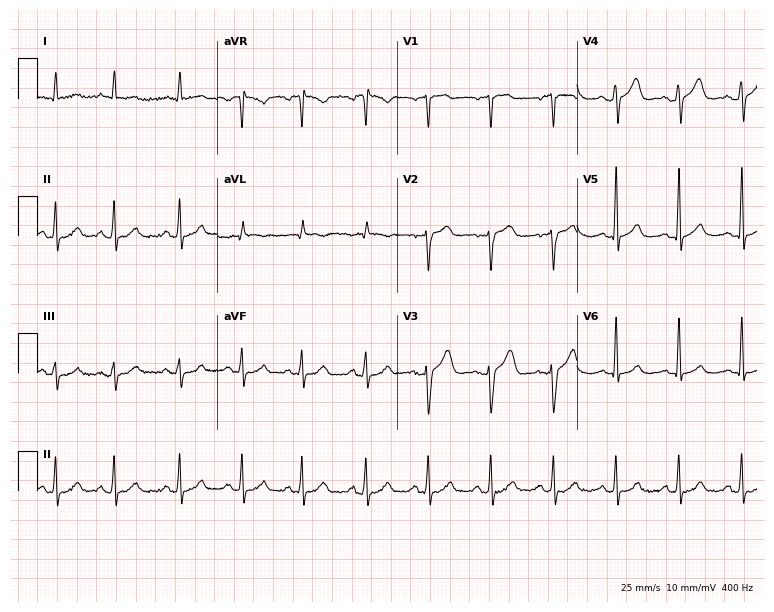
Resting 12-lead electrocardiogram (7.3-second recording at 400 Hz). Patient: a male, 71 years old. None of these six findings is recorded: first-degree AV block, right bundle branch block (RBBB), left bundle branch block (LBBB), sinus bradycardia, atrial fibrillation (AF), sinus tachycardia.